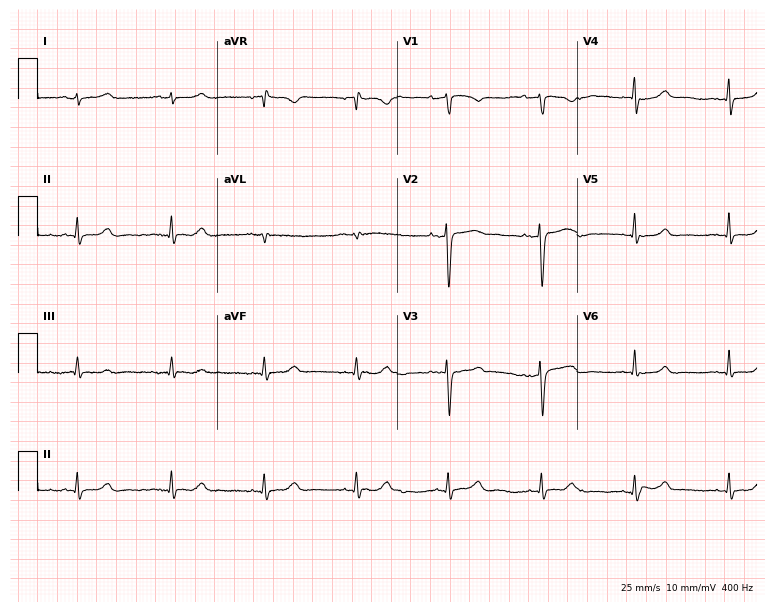
ECG — a 49-year-old female patient. Labelled as a normal ECG.